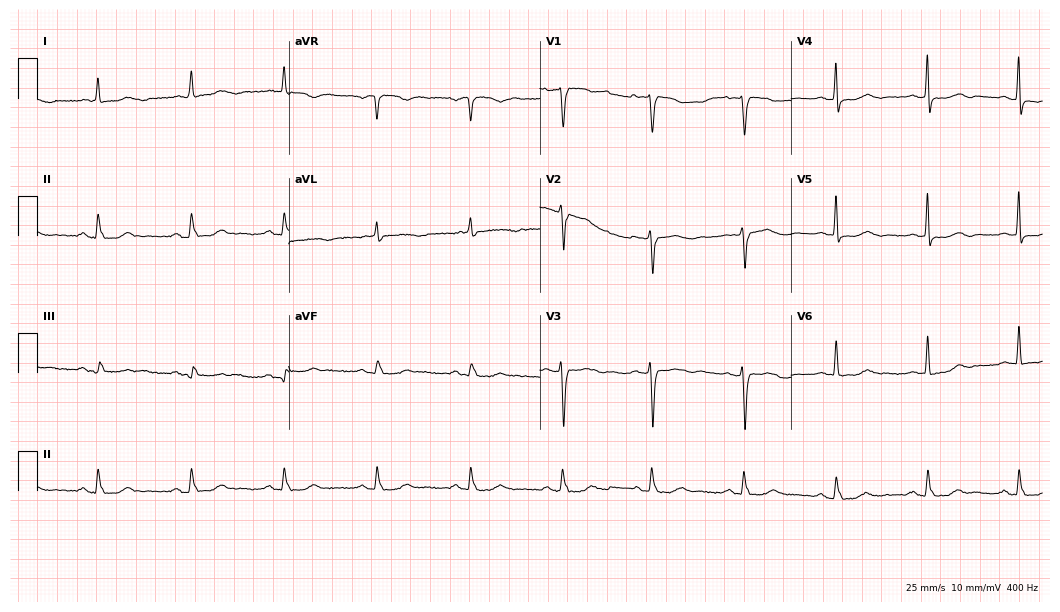
12-lead ECG (10.2-second recording at 400 Hz) from an 80-year-old female. Screened for six findings — first-degree AV block, right bundle branch block, left bundle branch block, sinus bradycardia, atrial fibrillation, sinus tachycardia — none is recorded. Other findings, if any, are not listed.